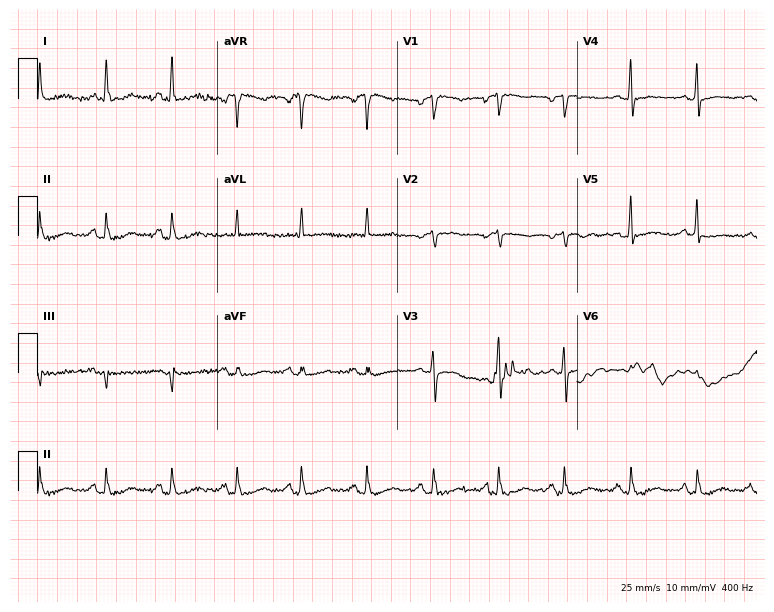
Electrocardiogram (7.3-second recording at 400 Hz), a 57-year-old woman. Of the six screened findings (first-degree AV block, right bundle branch block (RBBB), left bundle branch block (LBBB), sinus bradycardia, atrial fibrillation (AF), sinus tachycardia), none is recorded.